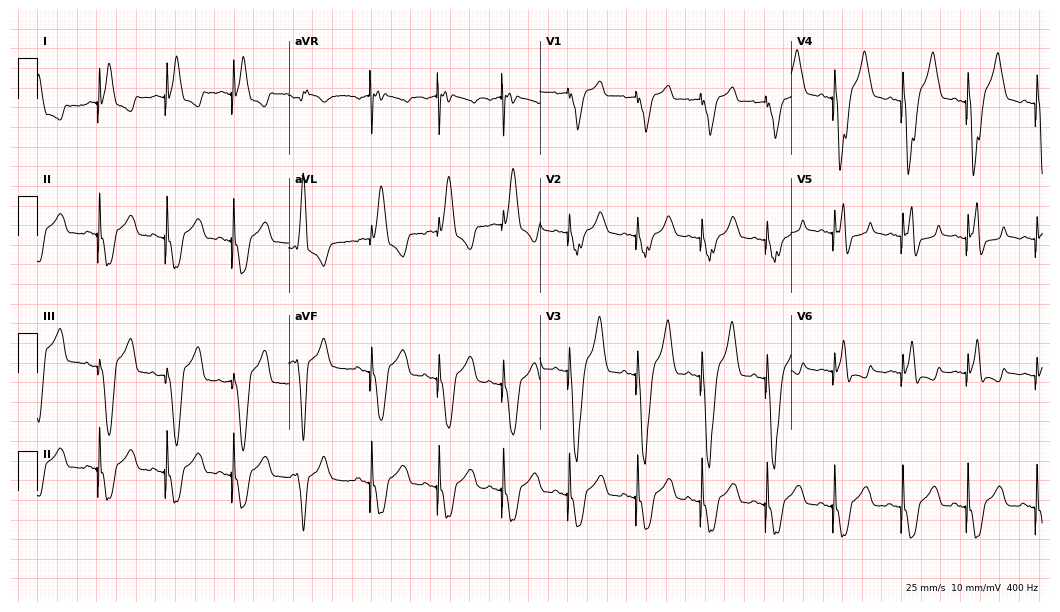
Electrocardiogram (10.2-second recording at 400 Hz), a 77-year-old female patient. Of the six screened findings (first-degree AV block, right bundle branch block (RBBB), left bundle branch block (LBBB), sinus bradycardia, atrial fibrillation (AF), sinus tachycardia), none is recorded. Other findings, if any, are not listed.